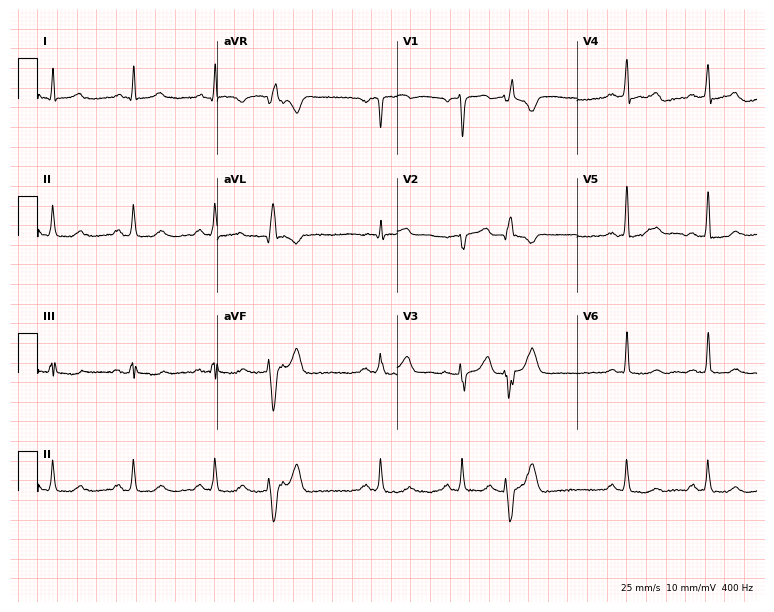
12-lead ECG from a 61-year-old male patient. Screened for six findings — first-degree AV block, right bundle branch block, left bundle branch block, sinus bradycardia, atrial fibrillation, sinus tachycardia — none is recorded.